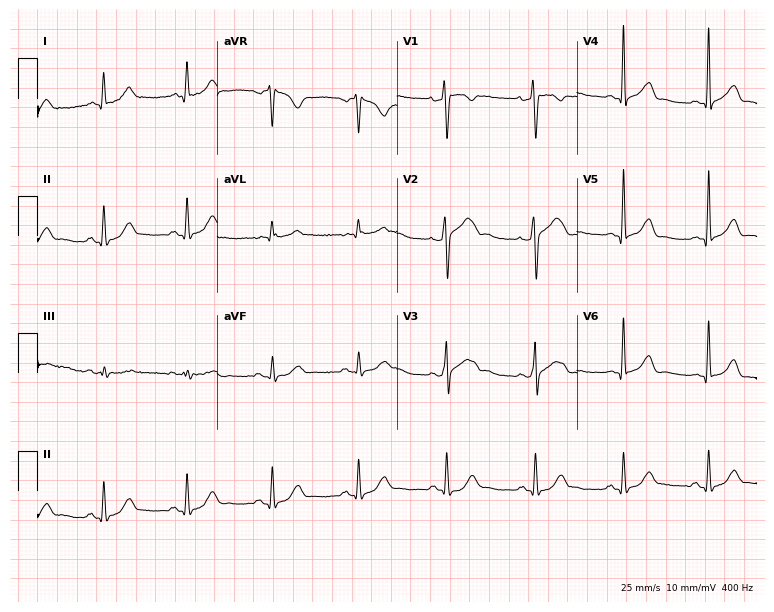
ECG — a male patient, 45 years old. Screened for six findings — first-degree AV block, right bundle branch block (RBBB), left bundle branch block (LBBB), sinus bradycardia, atrial fibrillation (AF), sinus tachycardia — none is recorded.